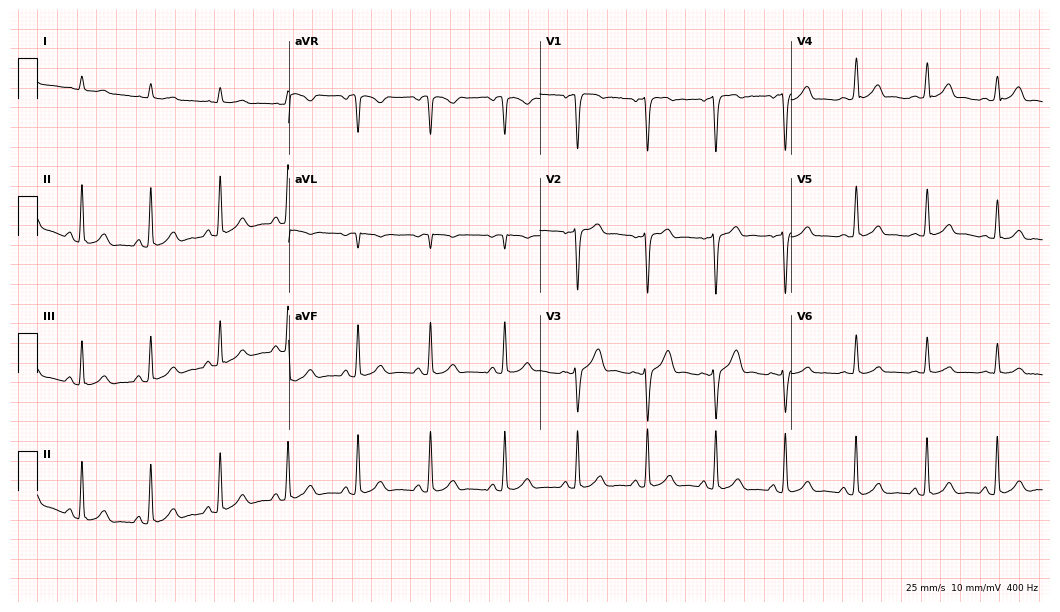
Electrocardiogram, a 27-year-old man. Overall reading on record: normal ECG.